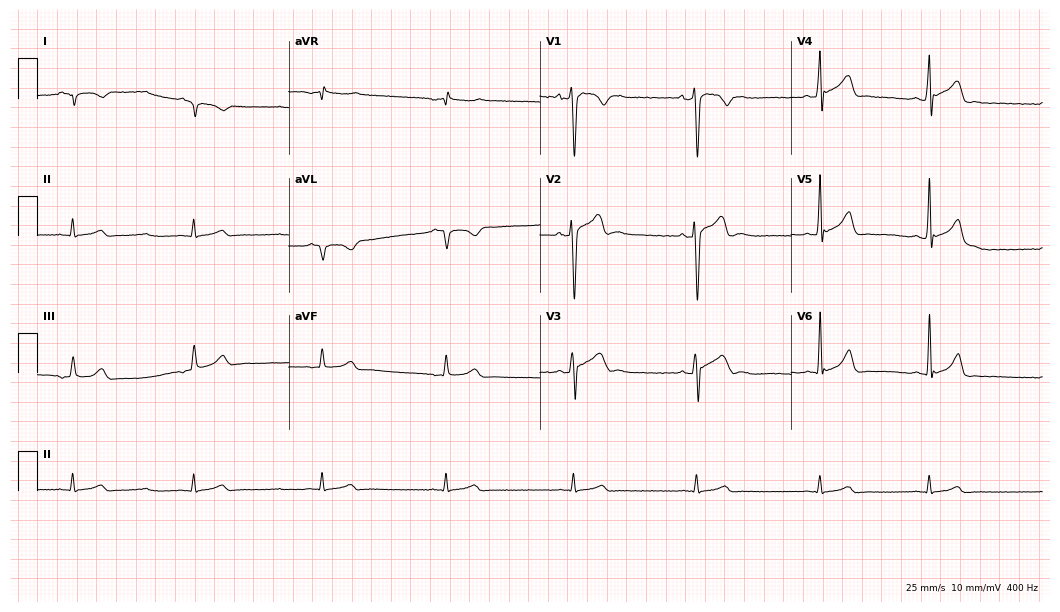
12-lead ECG from a 27-year-old female patient. Recorded interpretation: within normal limits.